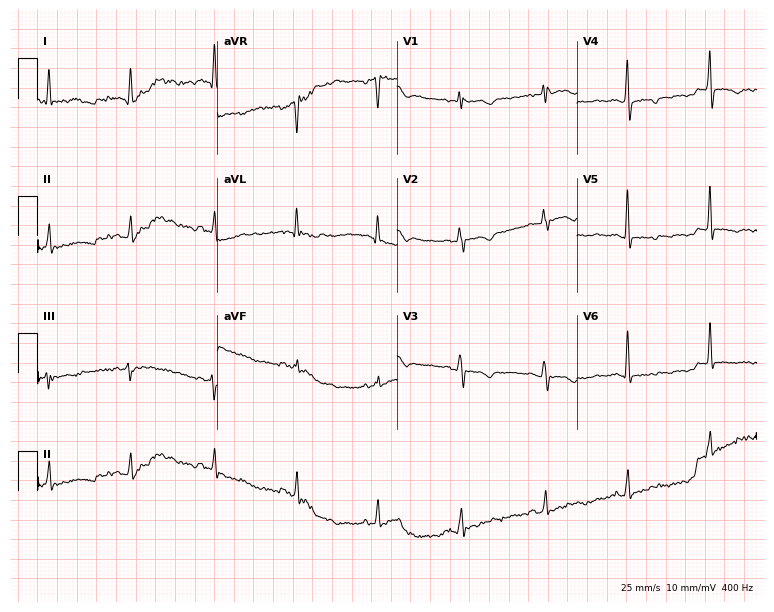
Standard 12-lead ECG recorded from a female, 56 years old (7.3-second recording at 400 Hz). None of these six findings is recorded: first-degree AV block, right bundle branch block, left bundle branch block, sinus bradycardia, atrial fibrillation, sinus tachycardia.